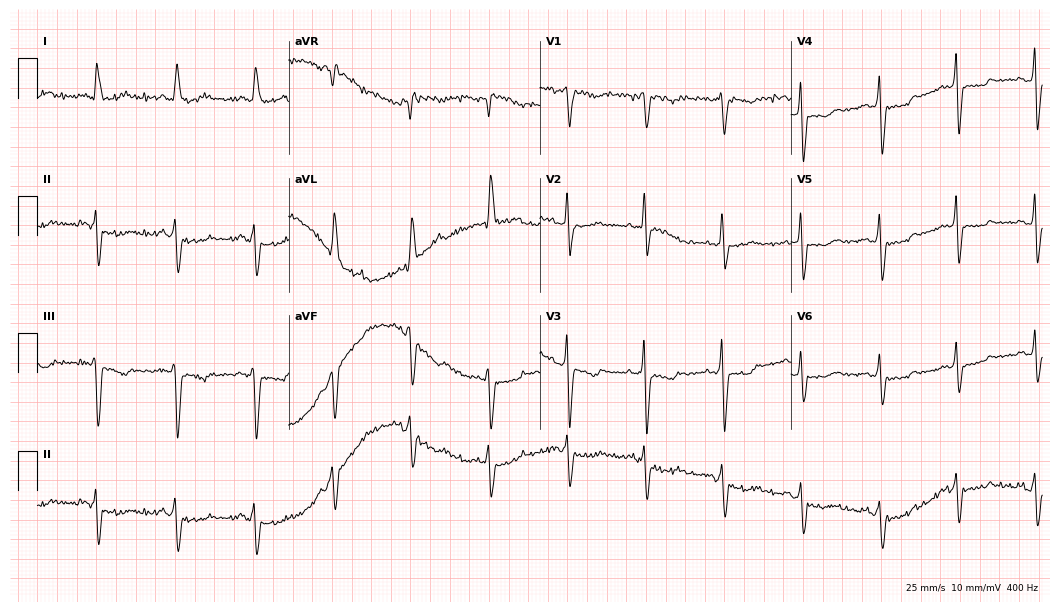
Electrocardiogram, a 52-year-old female. Of the six screened findings (first-degree AV block, right bundle branch block (RBBB), left bundle branch block (LBBB), sinus bradycardia, atrial fibrillation (AF), sinus tachycardia), none is recorded.